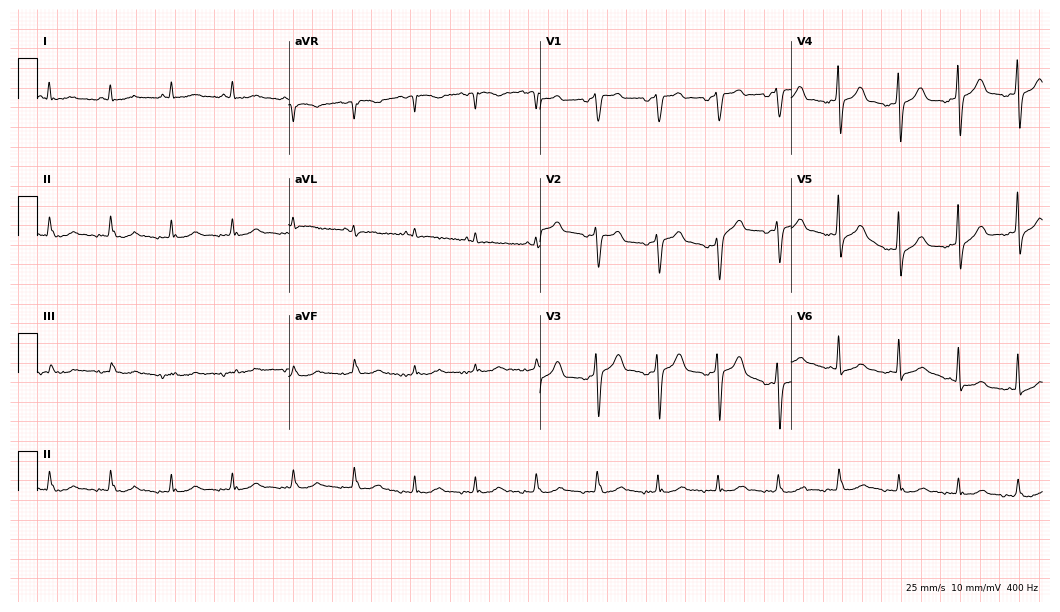
12-lead ECG from a 71-year-old male. Labelled as a normal ECG.